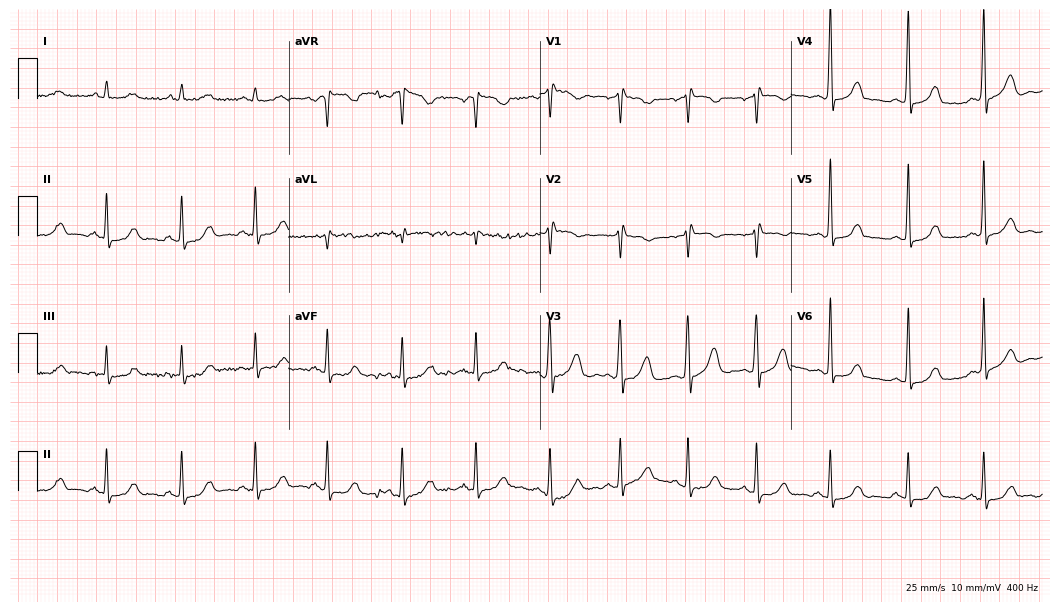
Resting 12-lead electrocardiogram. Patient: a 54-year-old woman. Read as a normal ECG.